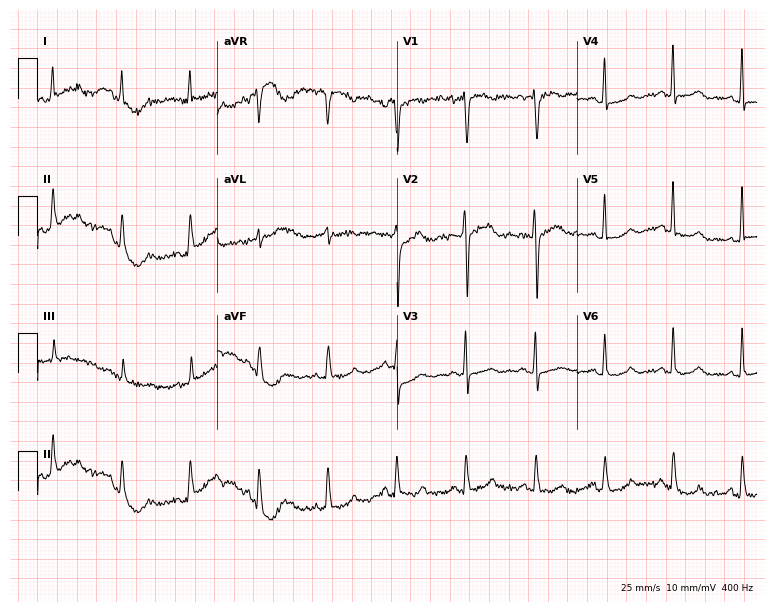
Resting 12-lead electrocardiogram (7.3-second recording at 400 Hz). Patient: a female, 63 years old. None of these six findings is recorded: first-degree AV block, right bundle branch block, left bundle branch block, sinus bradycardia, atrial fibrillation, sinus tachycardia. Only these six findings were labelled.